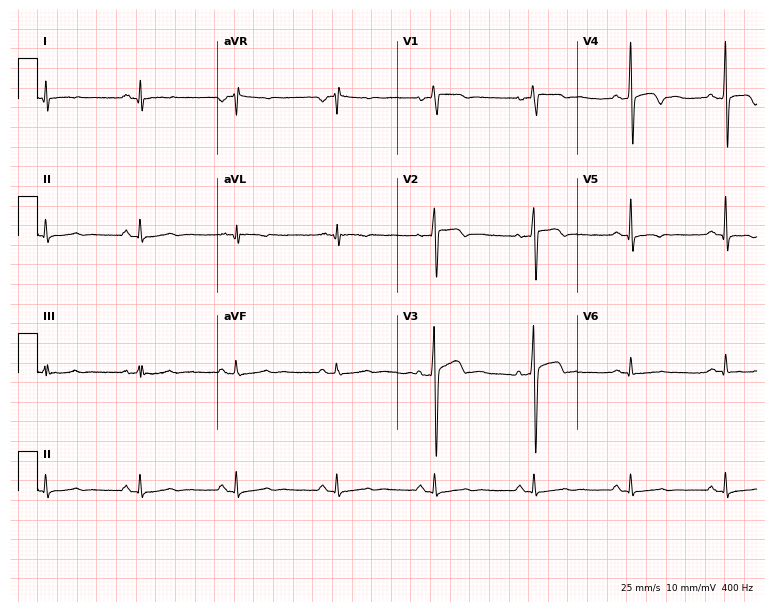
12-lead ECG from a male patient, 38 years old. Screened for six findings — first-degree AV block, right bundle branch block, left bundle branch block, sinus bradycardia, atrial fibrillation, sinus tachycardia — none is recorded. Only these six findings were labelled.